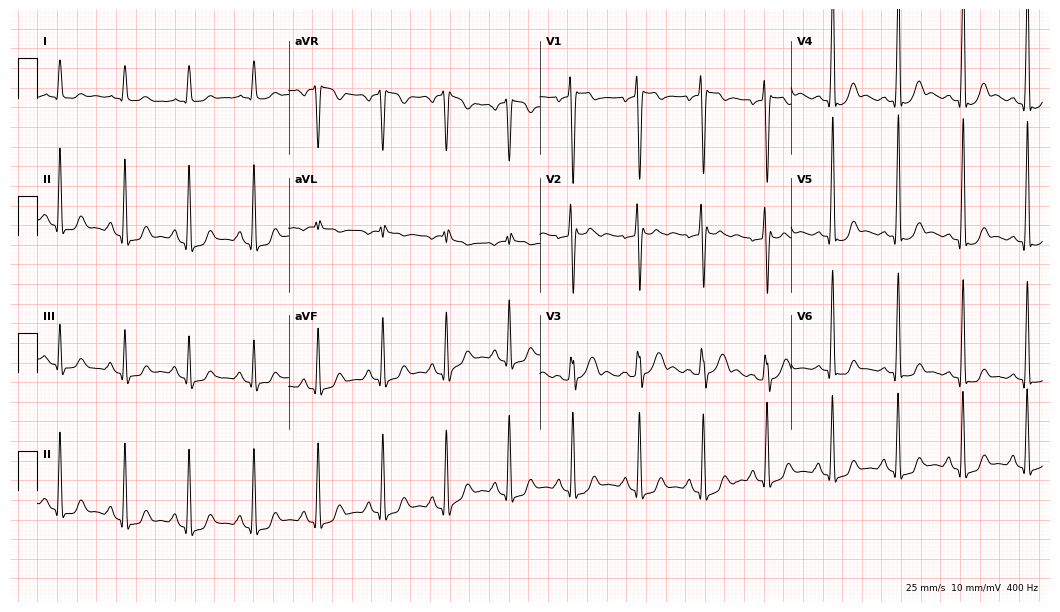
Electrocardiogram (10.2-second recording at 400 Hz), a 27-year-old man. Overall reading on record: normal ECG.